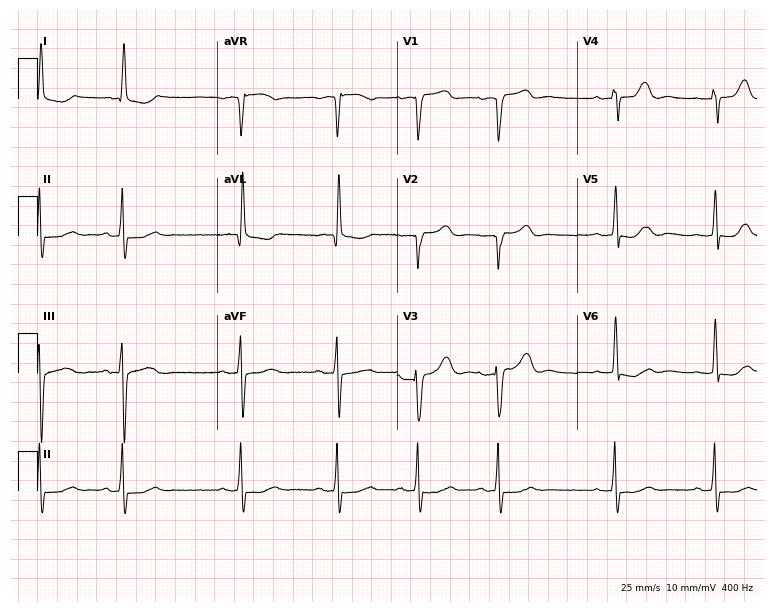
Resting 12-lead electrocardiogram (7.3-second recording at 400 Hz). Patient: a female, 82 years old. None of these six findings is recorded: first-degree AV block, right bundle branch block (RBBB), left bundle branch block (LBBB), sinus bradycardia, atrial fibrillation (AF), sinus tachycardia.